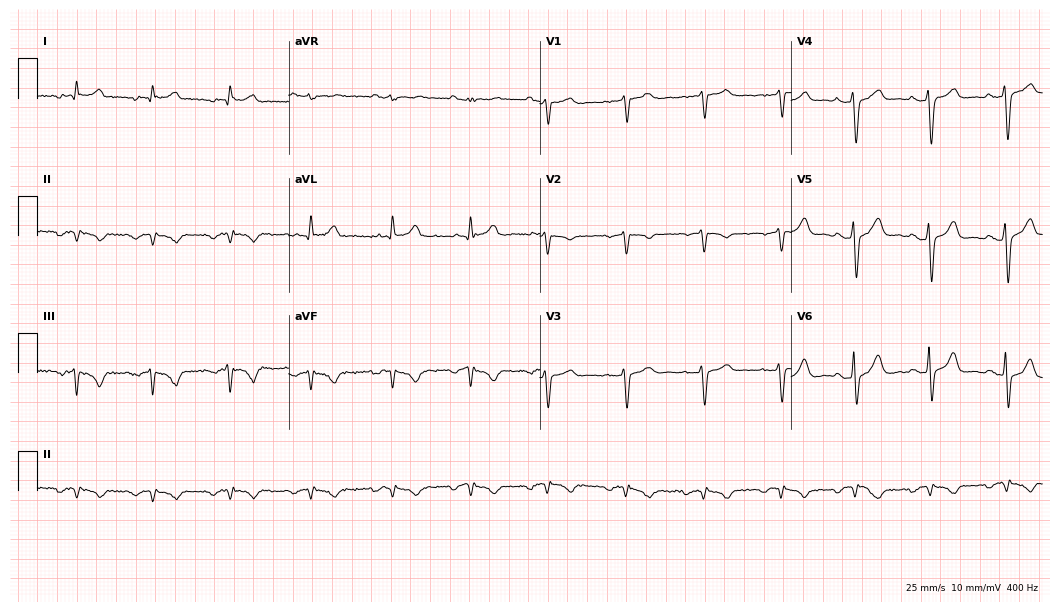
Standard 12-lead ECG recorded from a man, 45 years old (10.2-second recording at 400 Hz). None of these six findings is recorded: first-degree AV block, right bundle branch block, left bundle branch block, sinus bradycardia, atrial fibrillation, sinus tachycardia.